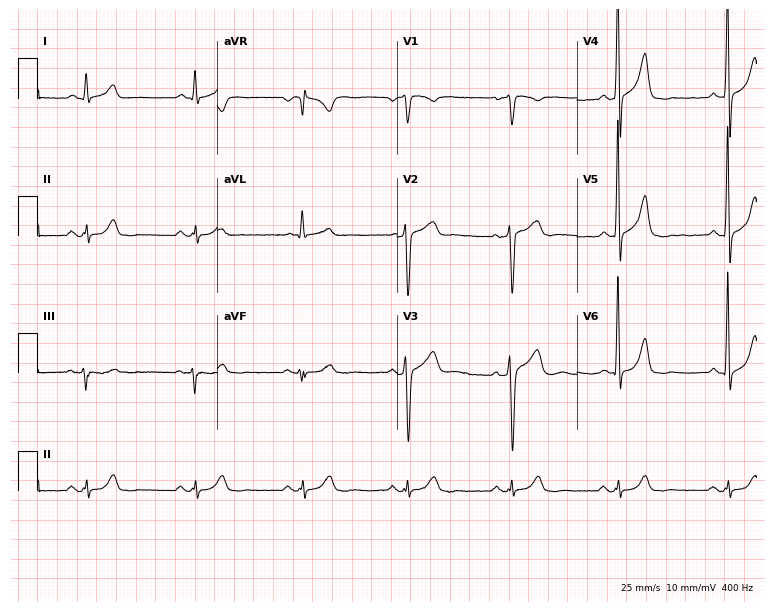
Resting 12-lead electrocardiogram. Patient: a man, 56 years old. None of these six findings is recorded: first-degree AV block, right bundle branch block, left bundle branch block, sinus bradycardia, atrial fibrillation, sinus tachycardia.